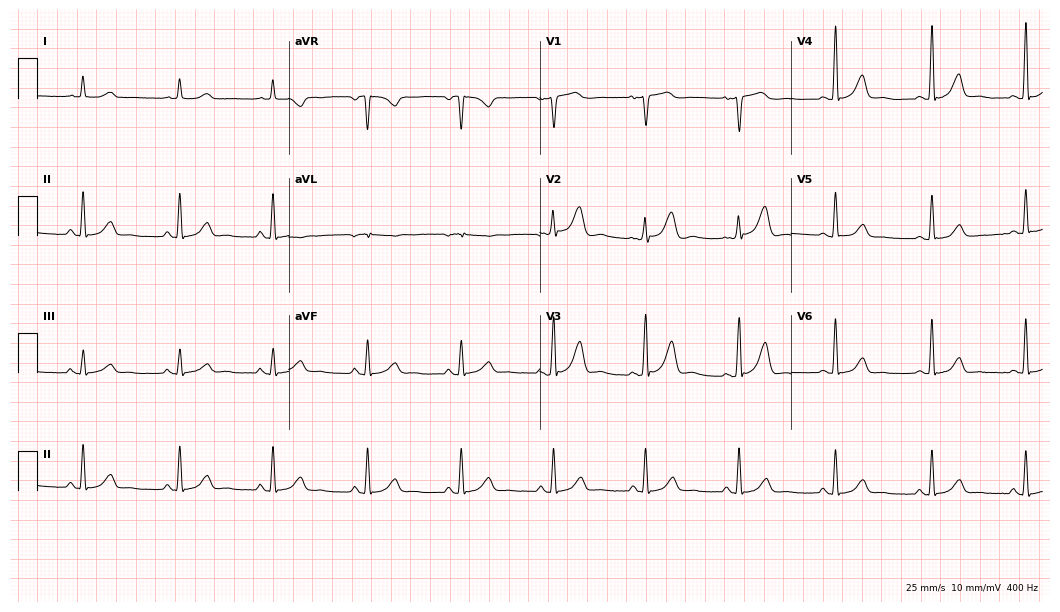
ECG — a woman, 63 years old. Labelled as a normal ECG.